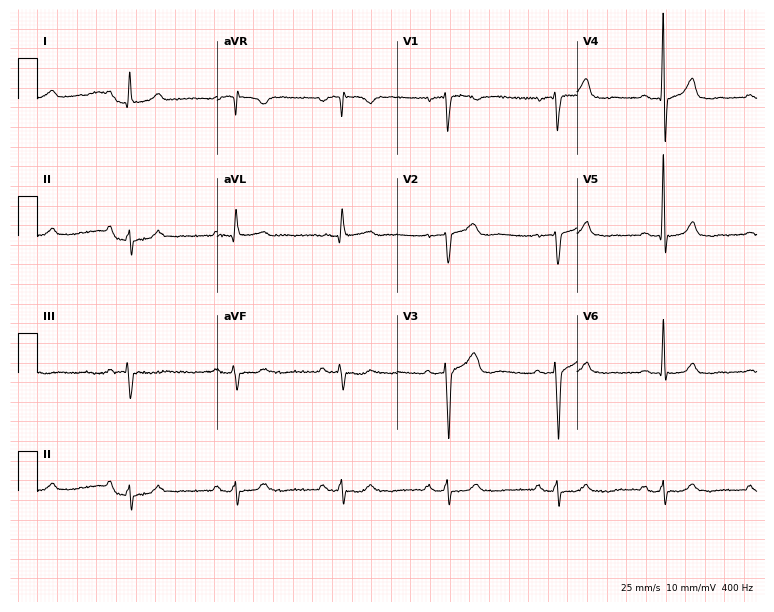
12-lead ECG from a 69-year-old man. Screened for six findings — first-degree AV block, right bundle branch block, left bundle branch block, sinus bradycardia, atrial fibrillation, sinus tachycardia — none is recorded.